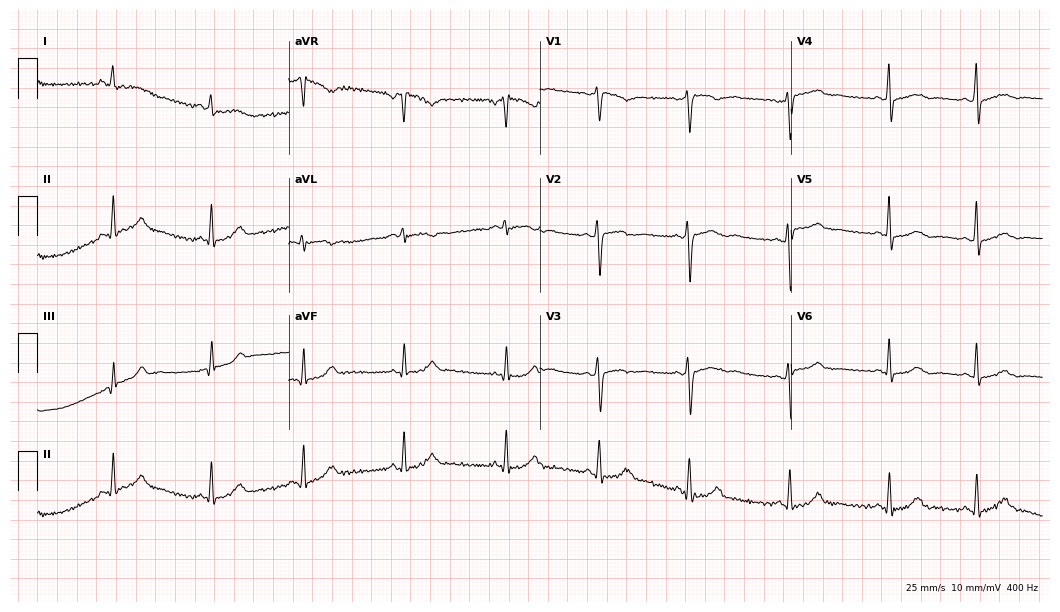
12-lead ECG from a 40-year-old woman. Recorded interpretation: within normal limits.